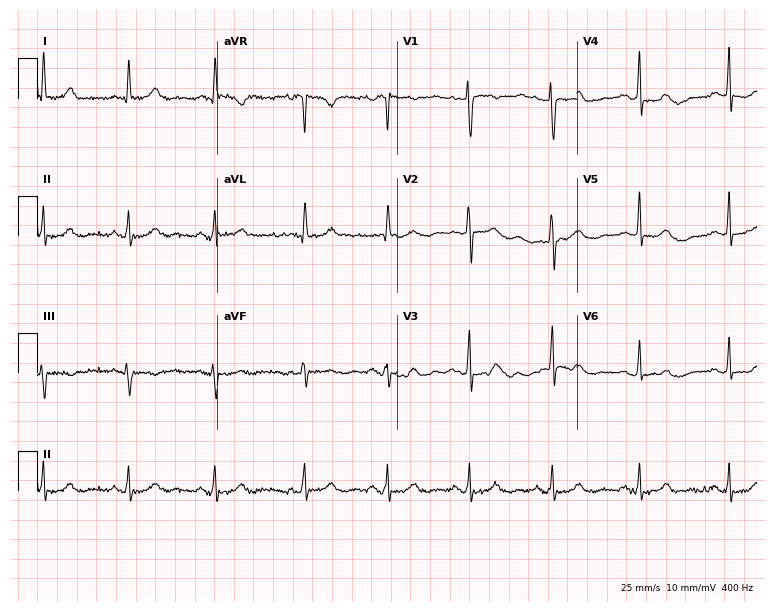
12-lead ECG from a 44-year-old female patient (7.3-second recording at 400 Hz). Recorded interpretation: within normal limits.